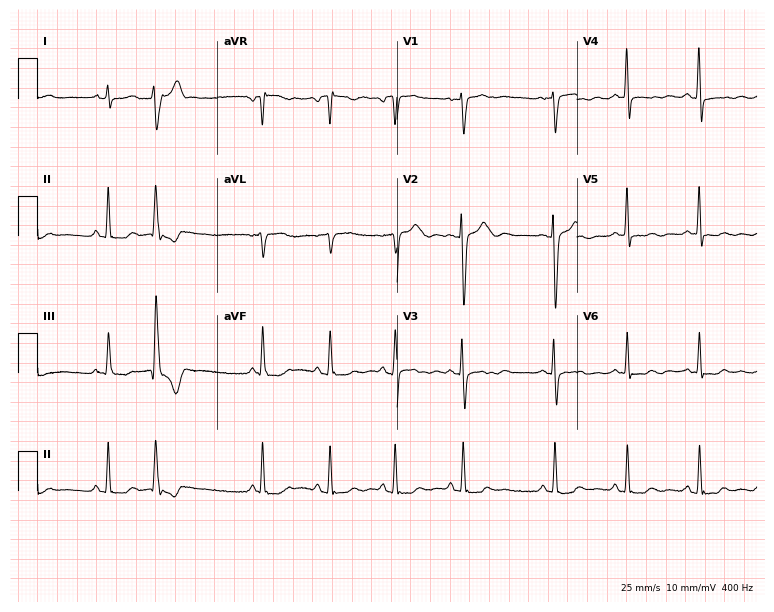
Resting 12-lead electrocardiogram (7.3-second recording at 400 Hz). Patient: an 18-year-old female. None of these six findings is recorded: first-degree AV block, right bundle branch block, left bundle branch block, sinus bradycardia, atrial fibrillation, sinus tachycardia.